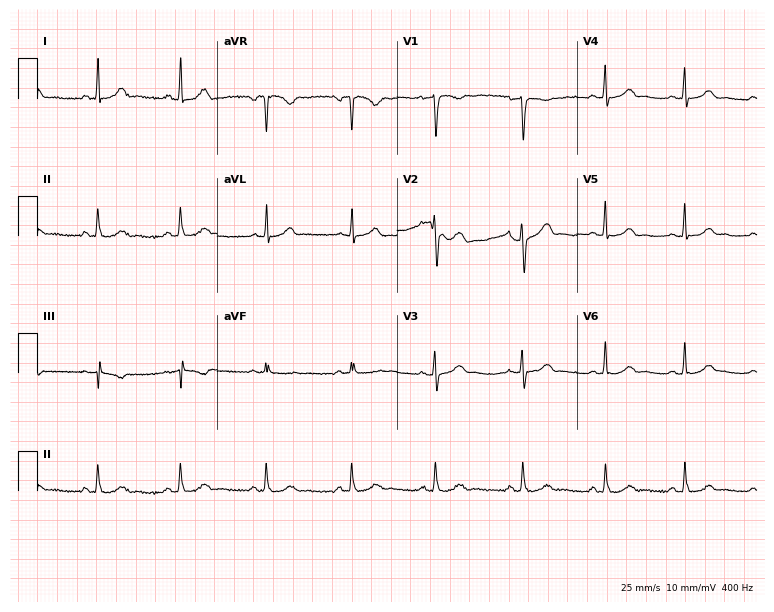
ECG — a female, 32 years old. Screened for six findings — first-degree AV block, right bundle branch block (RBBB), left bundle branch block (LBBB), sinus bradycardia, atrial fibrillation (AF), sinus tachycardia — none is recorded. Other findings, if any, are not listed.